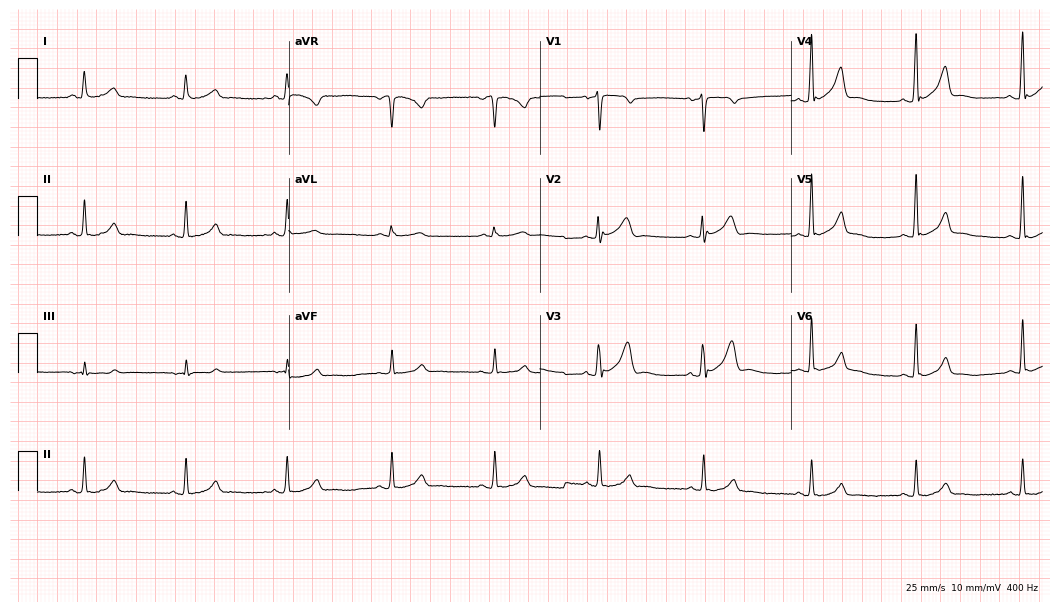
12-lead ECG from a 49-year-old male patient. Recorded interpretation: within normal limits.